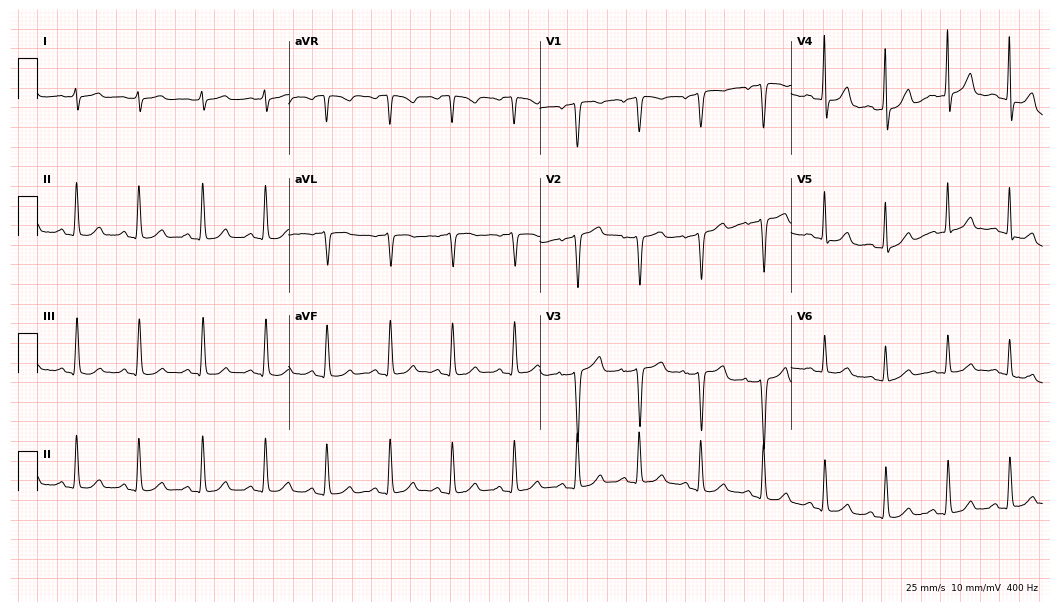
Electrocardiogram (10.2-second recording at 400 Hz), a 61-year-old female. Of the six screened findings (first-degree AV block, right bundle branch block, left bundle branch block, sinus bradycardia, atrial fibrillation, sinus tachycardia), none is recorded.